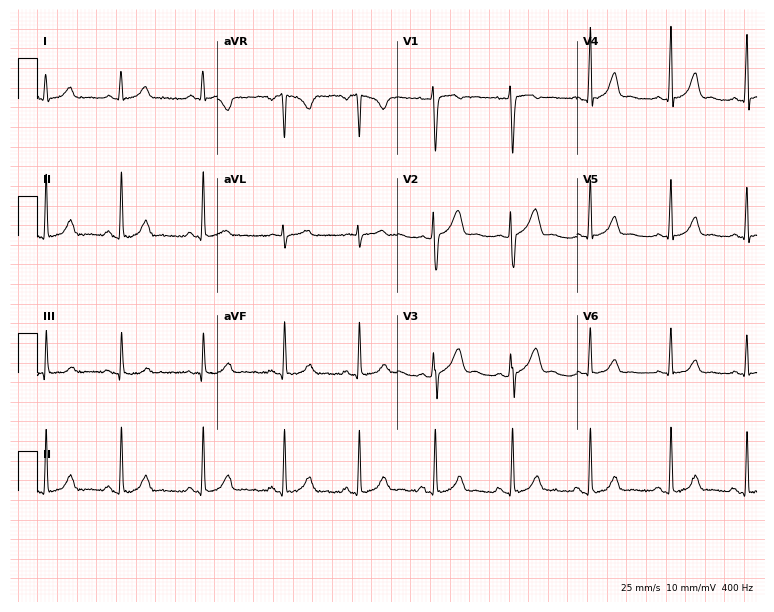
12-lead ECG from a 31-year-old woman. Screened for six findings — first-degree AV block, right bundle branch block, left bundle branch block, sinus bradycardia, atrial fibrillation, sinus tachycardia — none is recorded. Findings outside these six are not listed.